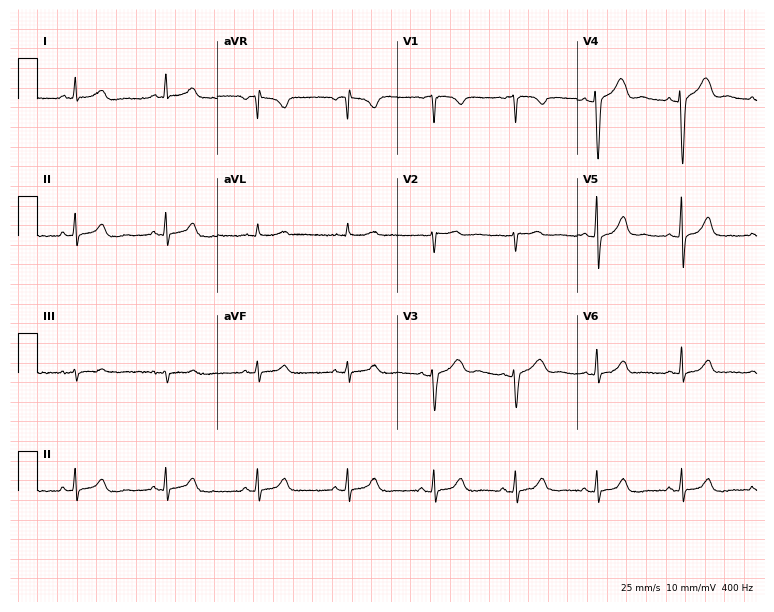
12-lead ECG (7.3-second recording at 400 Hz) from a 45-year-old female. Screened for six findings — first-degree AV block, right bundle branch block, left bundle branch block, sinus bradycardia, atrial fibrillation, sinus tachycardia — none is recorded. Findings outside these six are not listed.